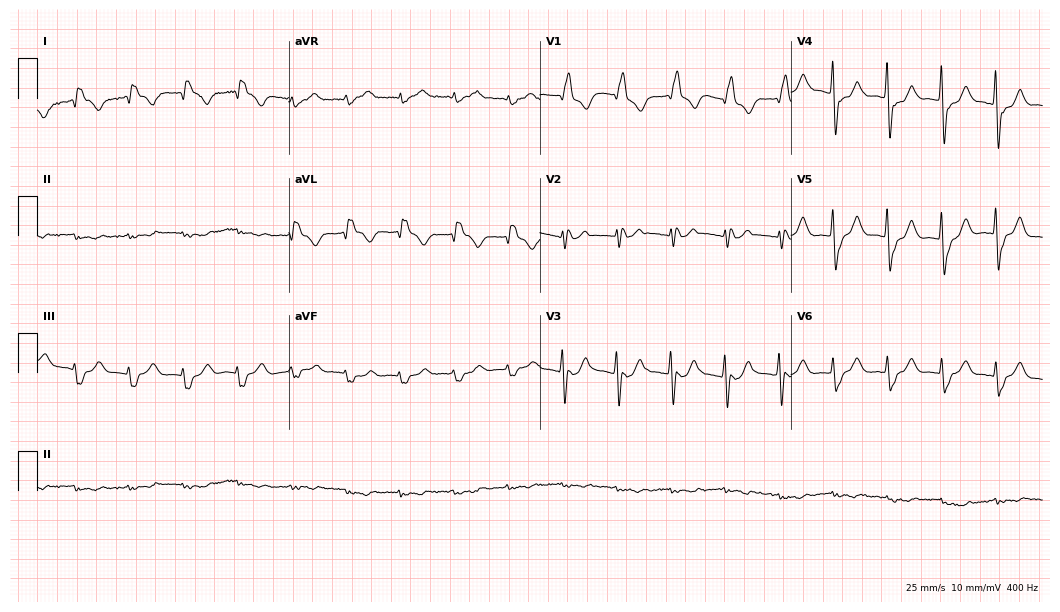
12-lead ECG from a man, 82 years old. Screened for six findings — first-degree AV block, right bundle branch block, left bundle branch block, sinus bradycardia, atrial fibrillation, sinus tachycardia — none is recorded.